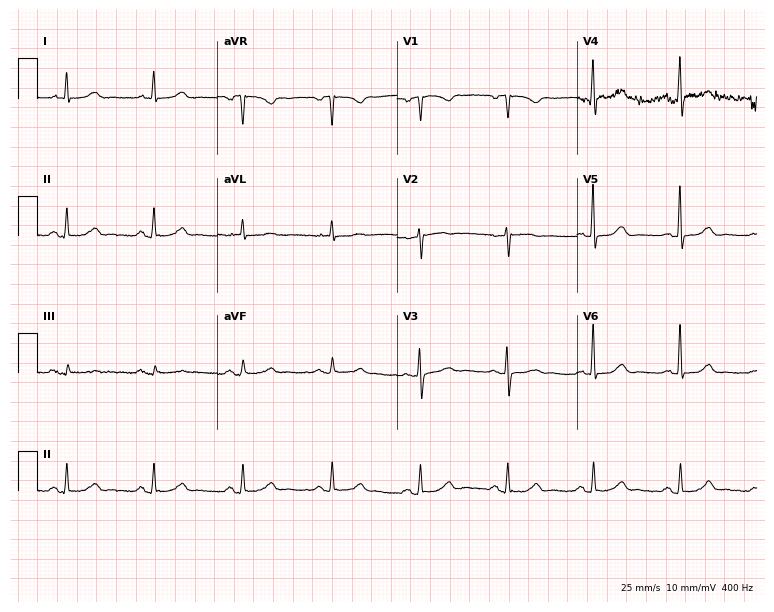
12-lead ECG (7.3-second recording at 400 Hz) from a female patient, 78 years old. Labelled as a normal ECG.